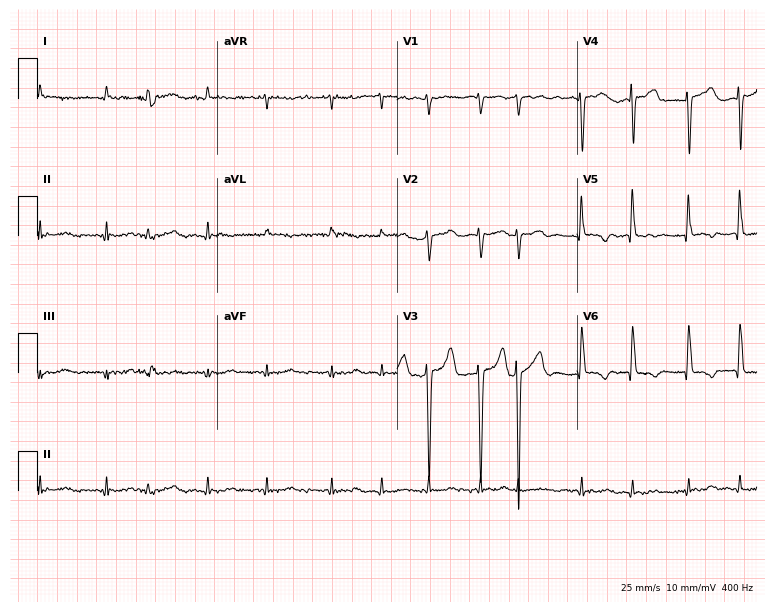
ECG (7.3-second recording at 400 Hz) — a male, 64 years old. Findings include atrial fibrillation.